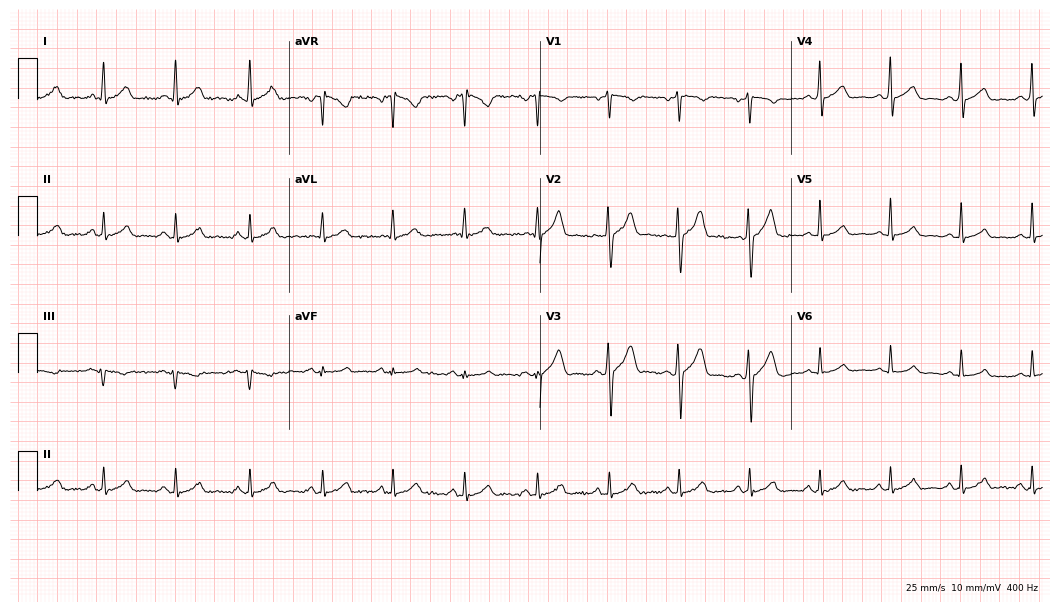
12-lead ECG from a male patient, 34 years old. Labelled as a normal ECG.